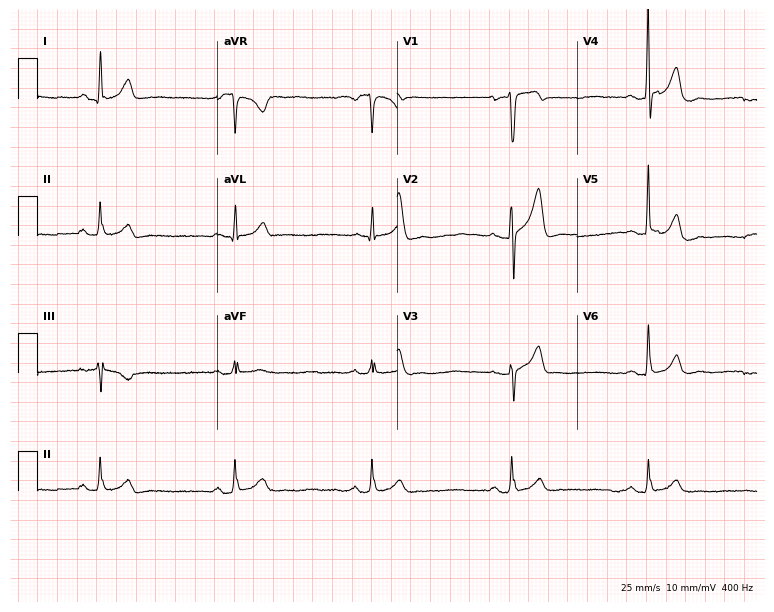
ECG — a 52-year-old male. Screened for six findings — first-degree AV block, right bundle branch block (RBBB), left bundle branch block (LBBB), sinus bradycardia, atrial fibrillation (AF), sinus tachycardia — none is recorded.